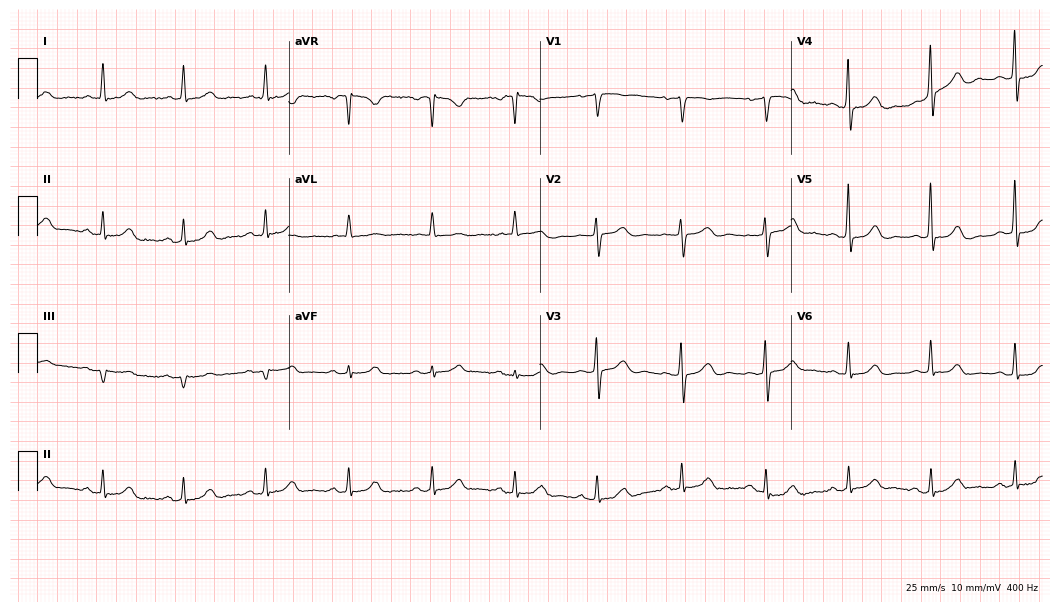
ECG — a female, 67 years old. Labelled as a normal ECG.